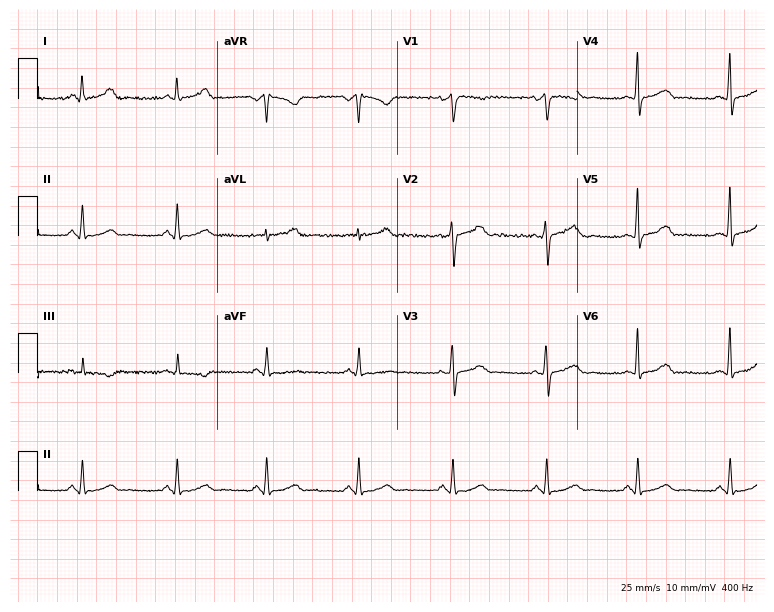
Standard 12-lead ECG recorded from a woman, 51 years old (7.3-second recording at 400 Hz). Read as a normal ECG.